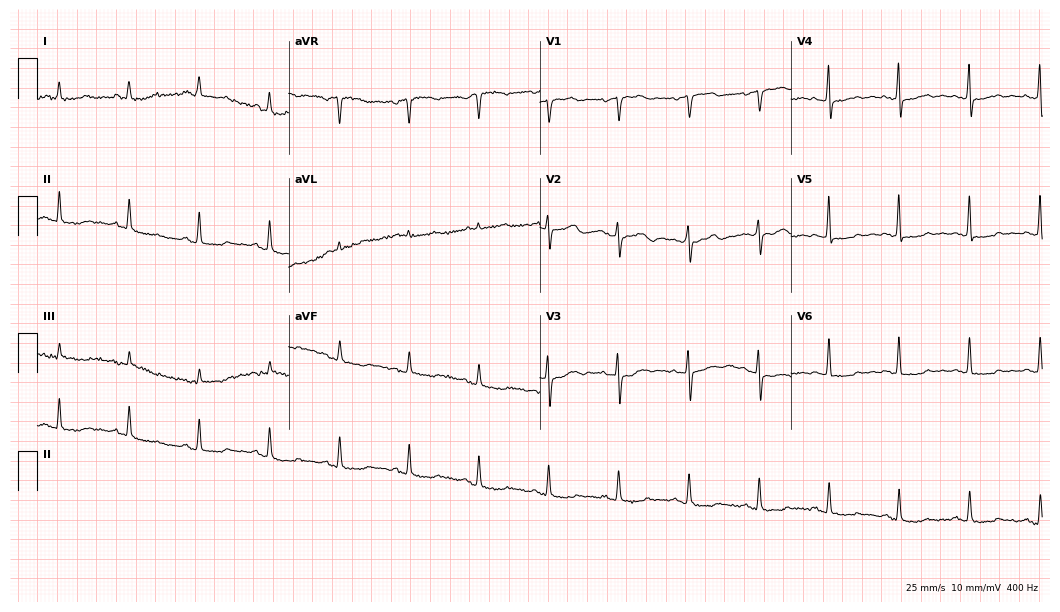
12-lead ECG (10.2-second recording at 400 Hz) from a female, 66 years old. Screened for six findings — first-degree AV block, right bundle branch block, left bundle branch block, sinus bradycardia, atrial fibrillation, sinus tachycardia — none is recorded.